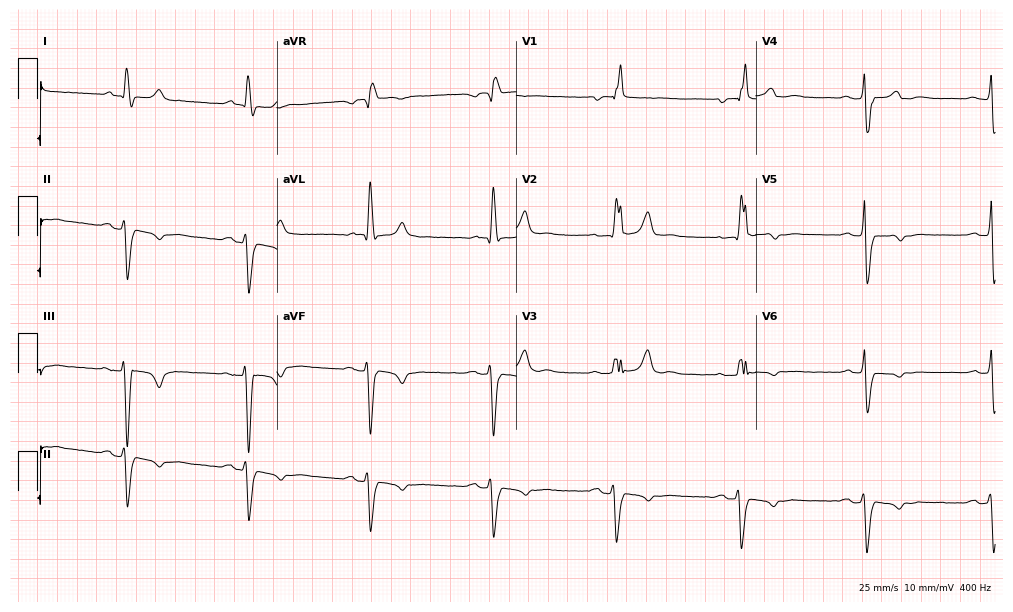
12-lead ECG from a man, 80 years old. Shows right bundle branch block (RBBB), sinus bradycardia (a sinus rate of 50 beats per minute or less).